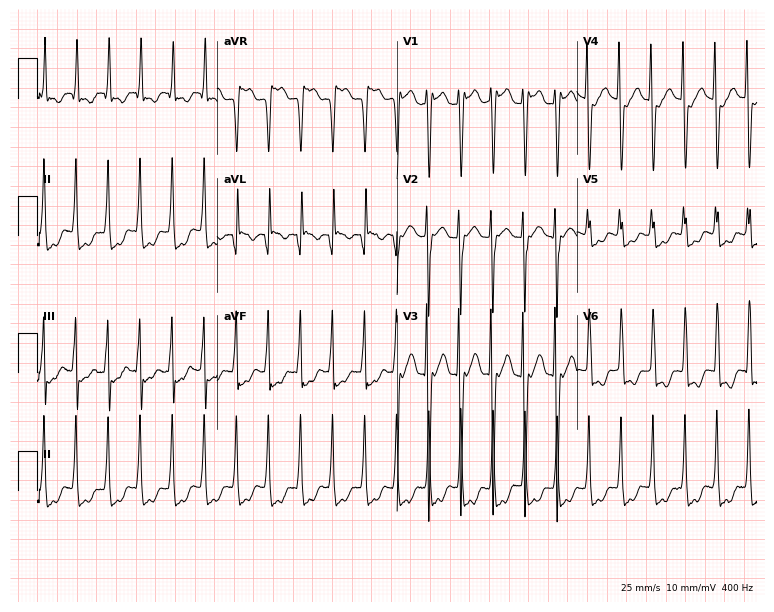
12-lead ECG (7.3-second recording at 400 Hz) from a 74-year-old female. Findings include sinus tachycardia (a sinus rate of 100 beats per minute or more).